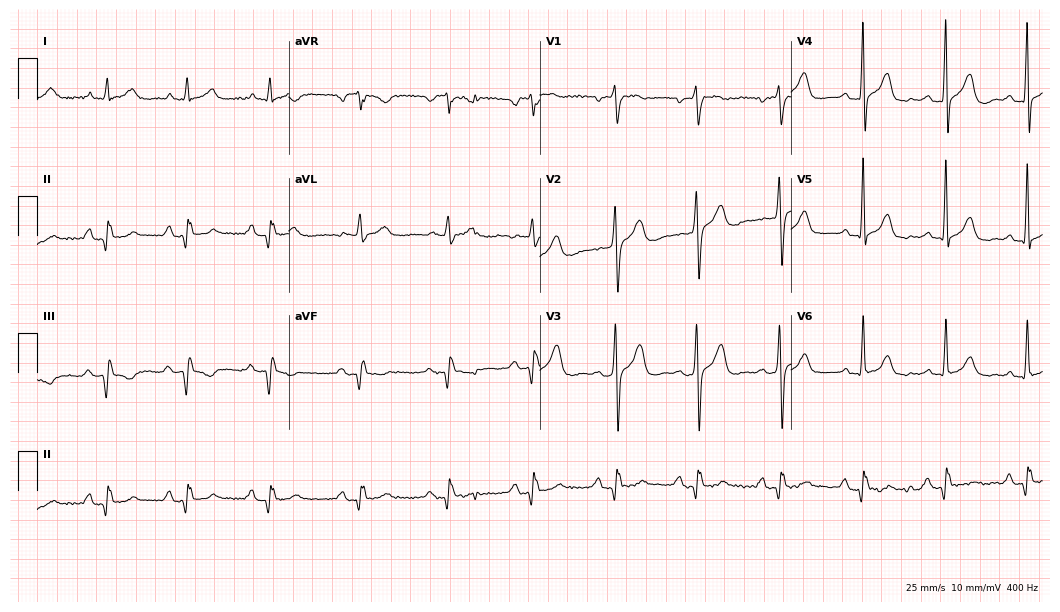
Resting 12-lead electrocardiogram (10.2-second recording at 400 Hz). Patient: a 74-year-old man. None of these six findings is recorded: first-degree AV block, right bundle branch block (RBBB), left bundle branch block (LBBB), sinus bradycardia, atrial fibrillation (AF), sinus tachycardia.